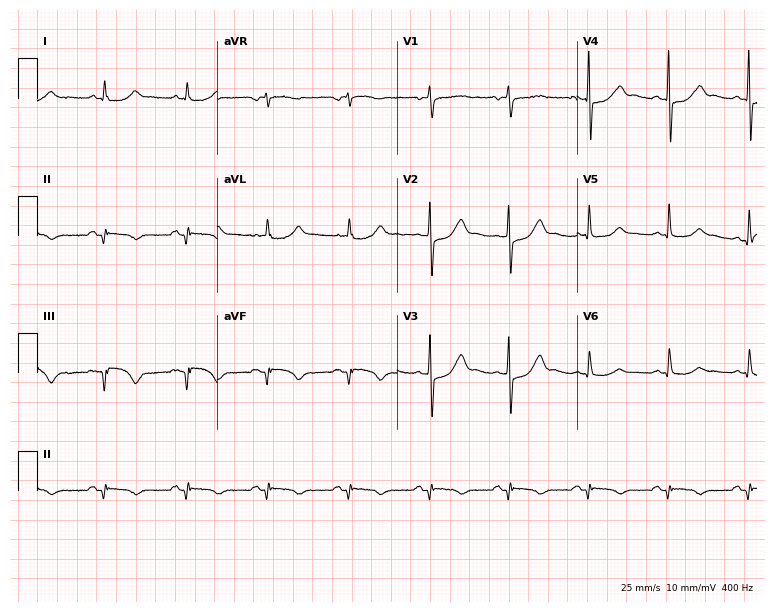
12-lead ECG (7.3-second recording at 400 Hz) from a 58-year-old female patient. Screened for six findings — first-degree AV block, right bundle branch block, left bundle branch block, sinus bradycardia, atrial fibrillation, sinus tachycardia — none is recorded.